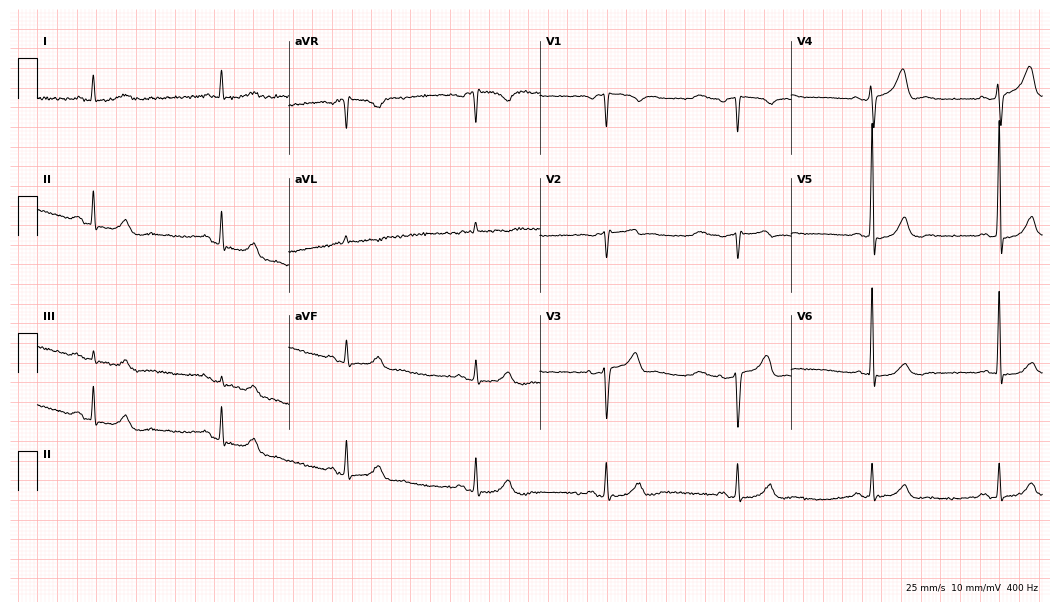
ECG (10.2-second recording at 400 Hz) — a 70-year-old male patient. Labelled as a normal ECG.